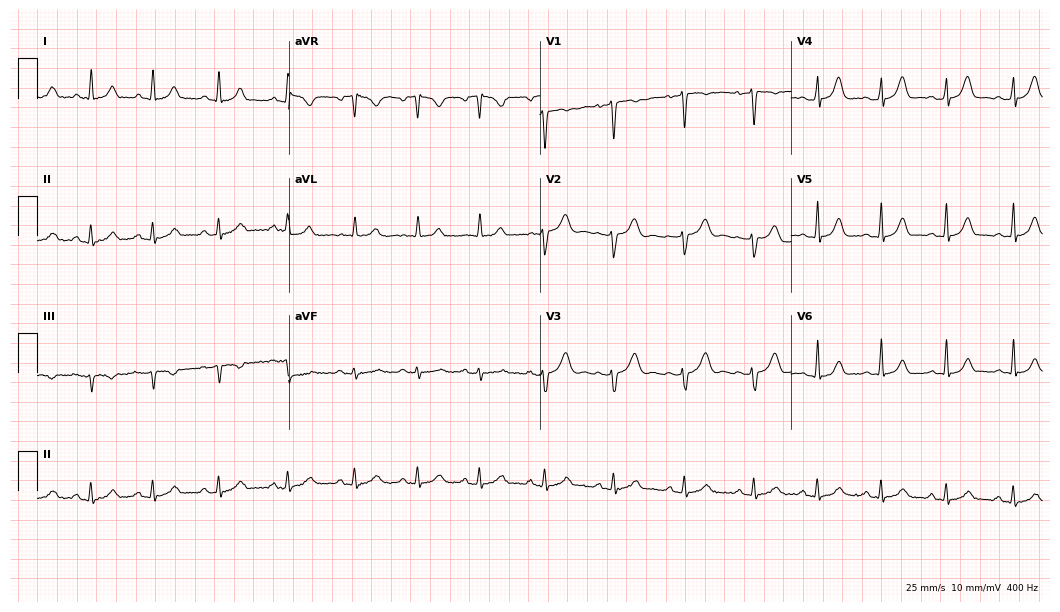
Resting 12-lead electrocardiogram. Patient: a female, 40 years old. Read as a normal ECG.